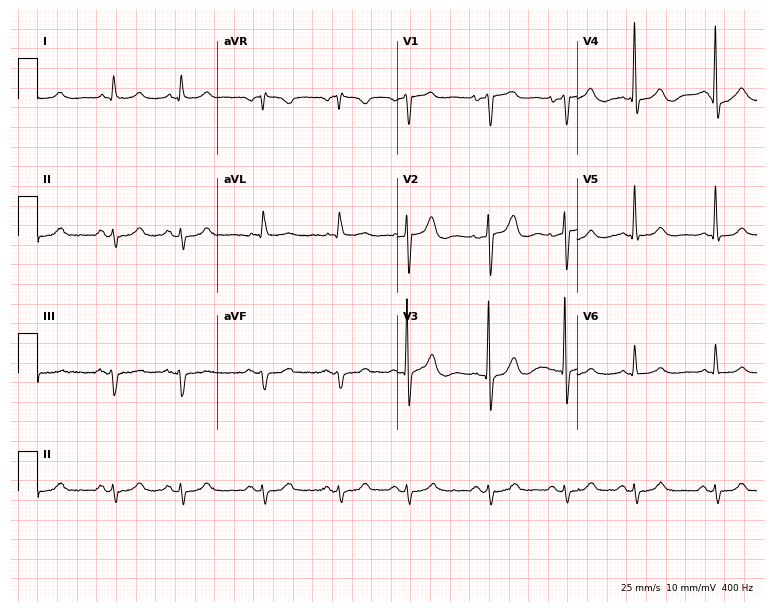
ECG — a male, 83 years old. Screened for six findings — first-degree AV block, right bundle branch block (RBBB), left bundle branch block (LBBB), sinus bradycardia, atrial fibrillation (AF), sinus tachycardia — none is recorded. Only these six findings were labelled.